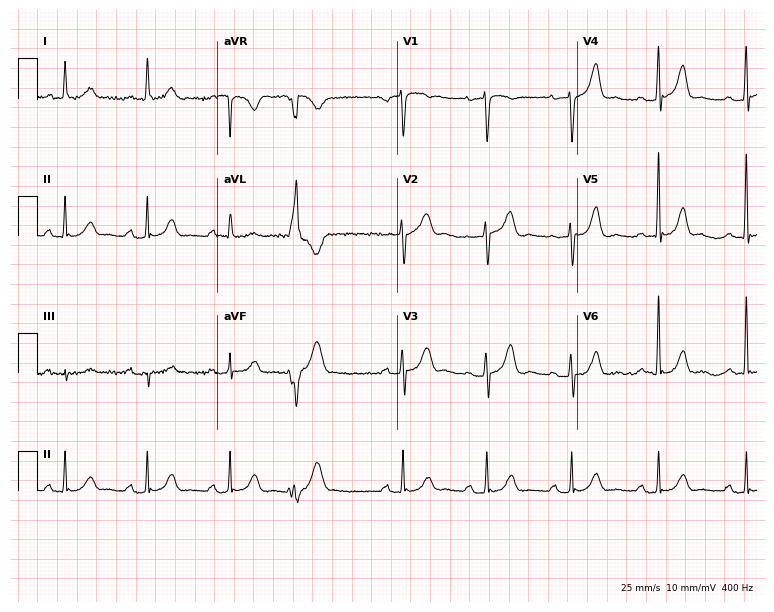
Standard 12-lead ECG recorded from a male, 67 years old (7.3-second recording at 400 Hz). None of these six findings is recorded: first-degree AV block, right bundle branch block, left bundle branch block, sinus bradycardia, atrial fibrillation, sinus tachycardia.